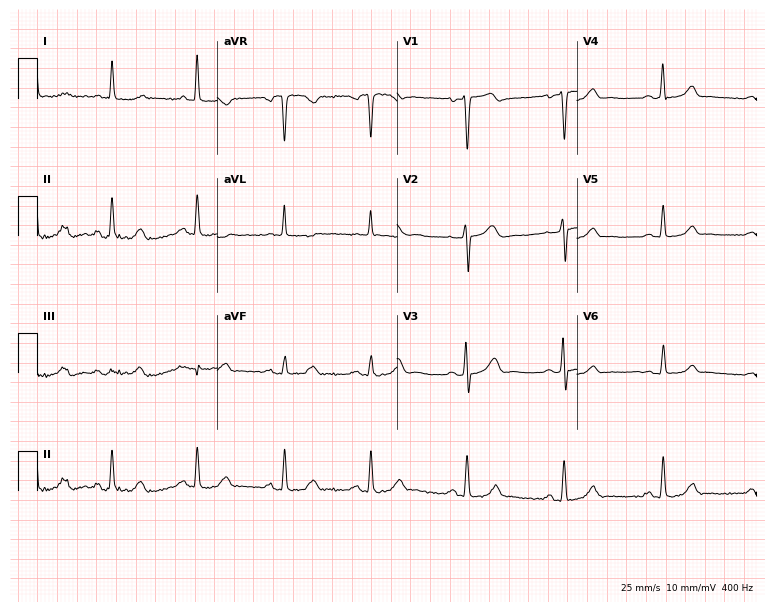
Standard 12-lead ECG recorded from a female, 39 years old (7.3-second recording at 400 Hz). None of these six findings is recorded: first-degree AV block, right bundle branch block, left bundle branch block, sinus bradycardia, atrial fibrillation, sinus tachycardia.